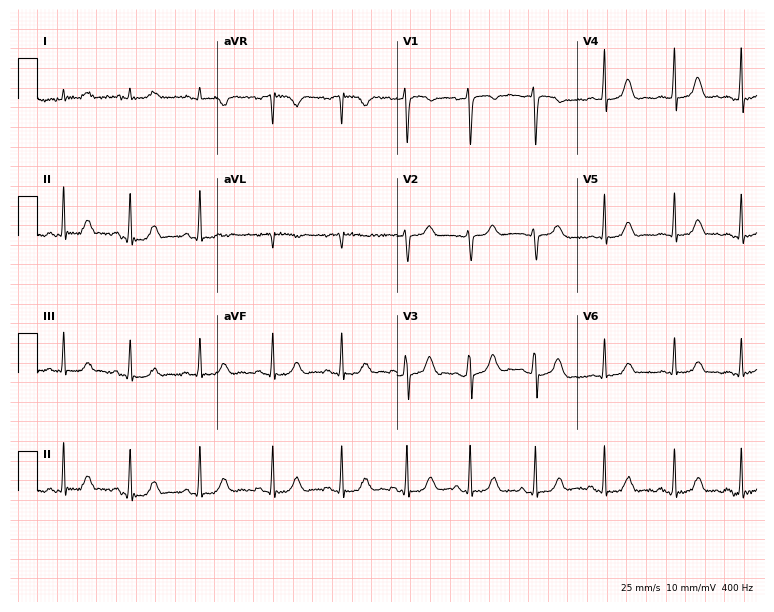
12-lead ECG (7.3-second recording at 400 Hz) from a 21-year-old woman. Labelled as a normal ECG.